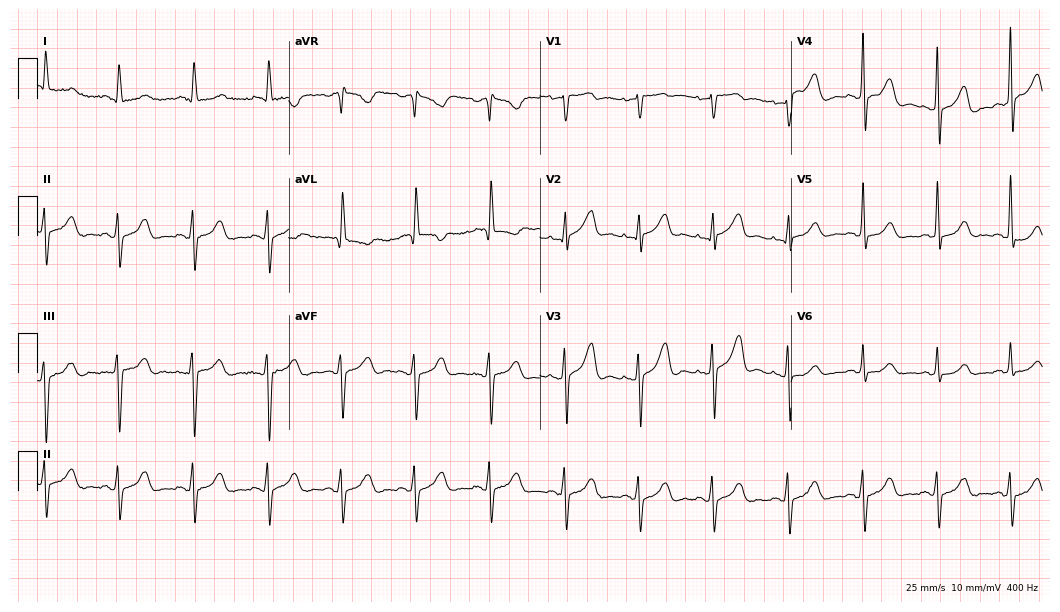
Standard 12-lead ECG recorded from a woman, 85 years old. None of these six findings is recorded: first-degree AV block, right bundle branch block (RBBB), left bundle branch block (LBBB), sinus bradycardia, atrial fibrillation (AF), sinus tachycardia. Only these six findings were labelled.